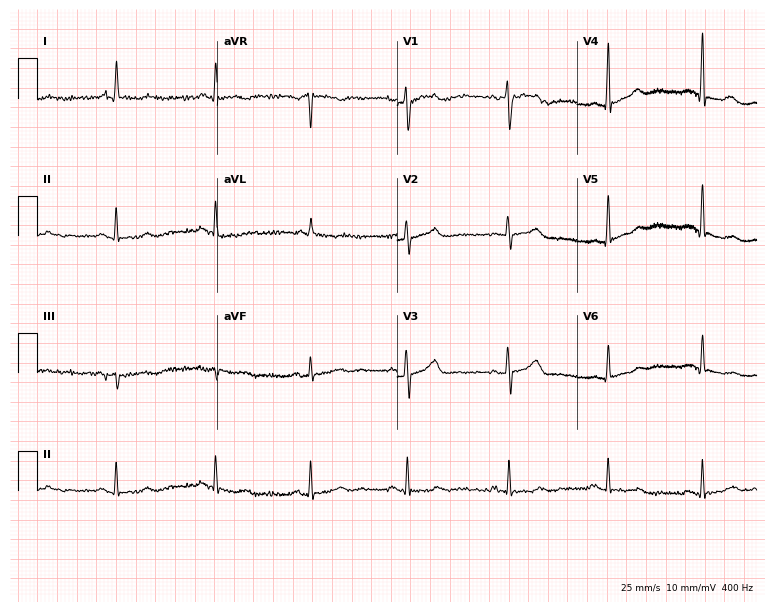
Resting 12-lead electrocardiogram. Patient: a woman, 58 years old. Read as a normal ECG.